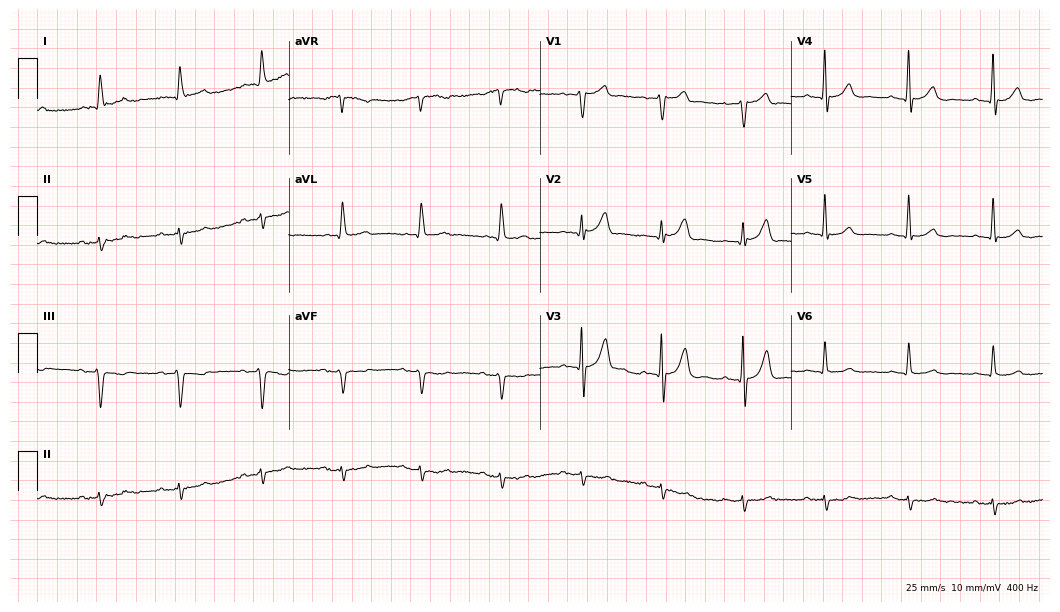
12-lead ECG from a 69-year-old man (10.2-second recording at 400 Hz). No first-degree AV block, right bundle branch block, left bundle branch block, sinus bradycardia, atrial fibrillation or sinus tachycardia recorded for this tracing.